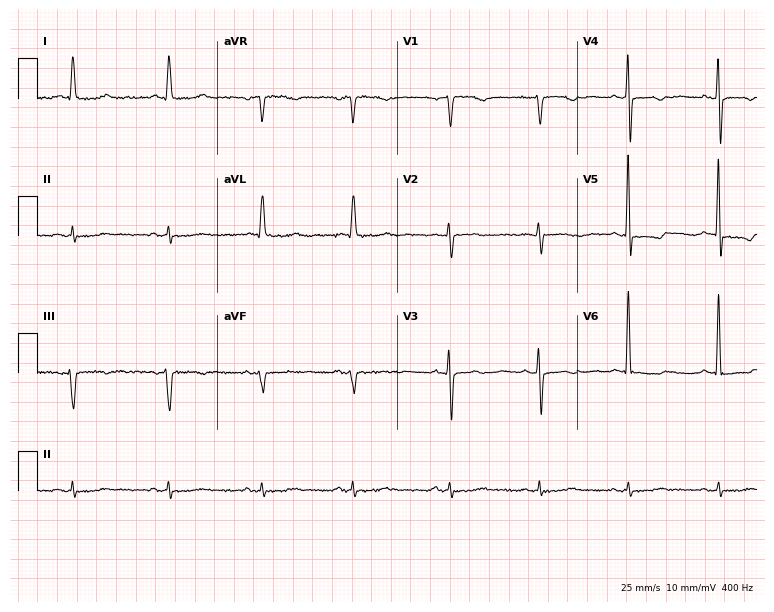
ECG — a 70-year-old female patient. Screened for six findings — first-degree AV block, right bundle branch block, left bundle branch block, sinus bradycardia, atrial fibrillation, sinus tachycardia — none is recorded. Only these six findings were labelled.